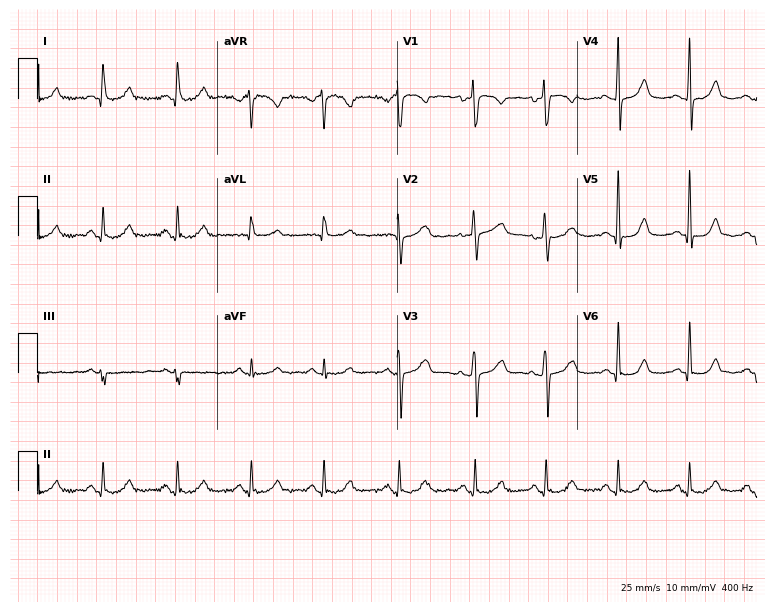
Electrocardiogram, a female, 51 years old. Overall reading on record: normal ECG.